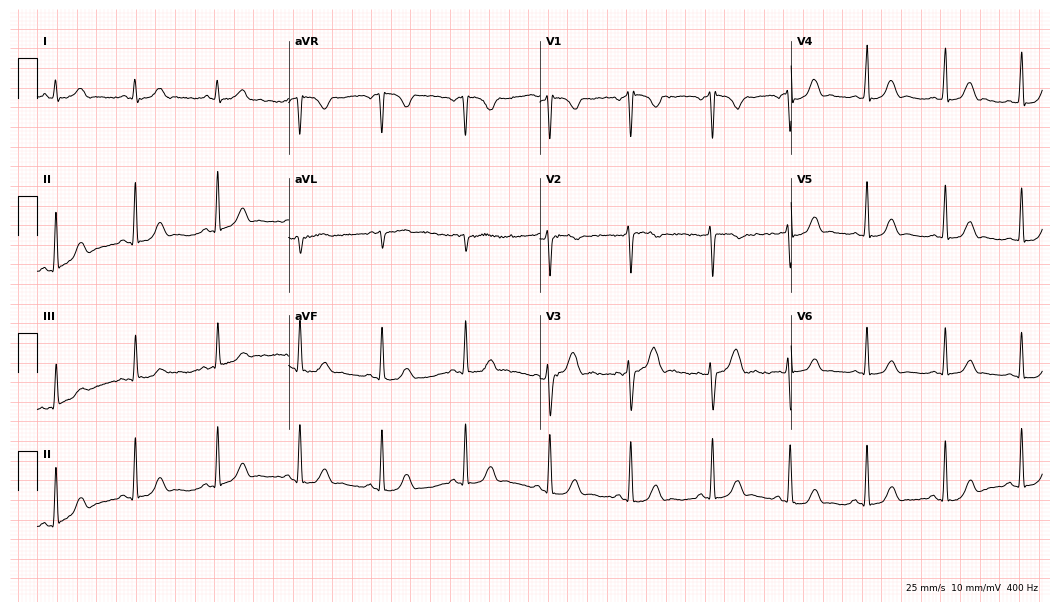
Electrocardiogram (10.2-second recording at 400 Hz), a 17-year-old female. Overall reading on record: normal ECG.